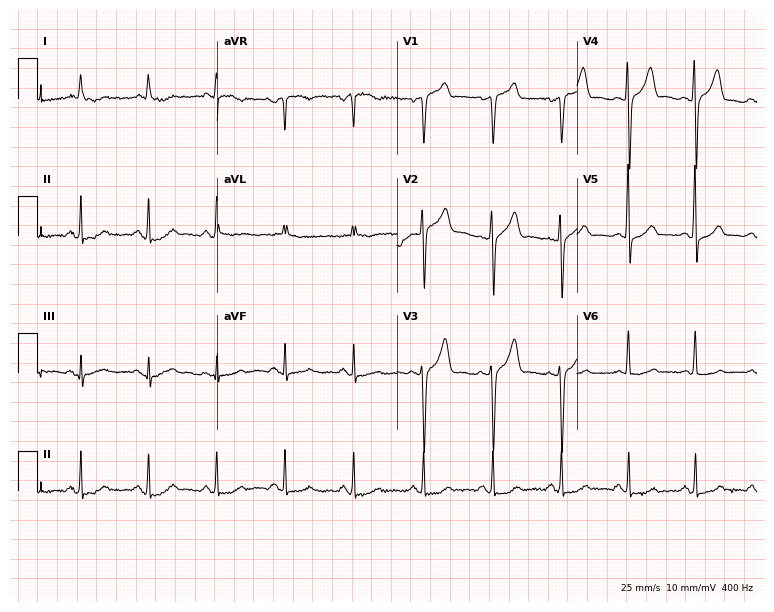
Resting 12-lead electrocardiogram (7.3-second recording at 400 Hz). Patient: a 48-year-old male. Read as a normal ECG.